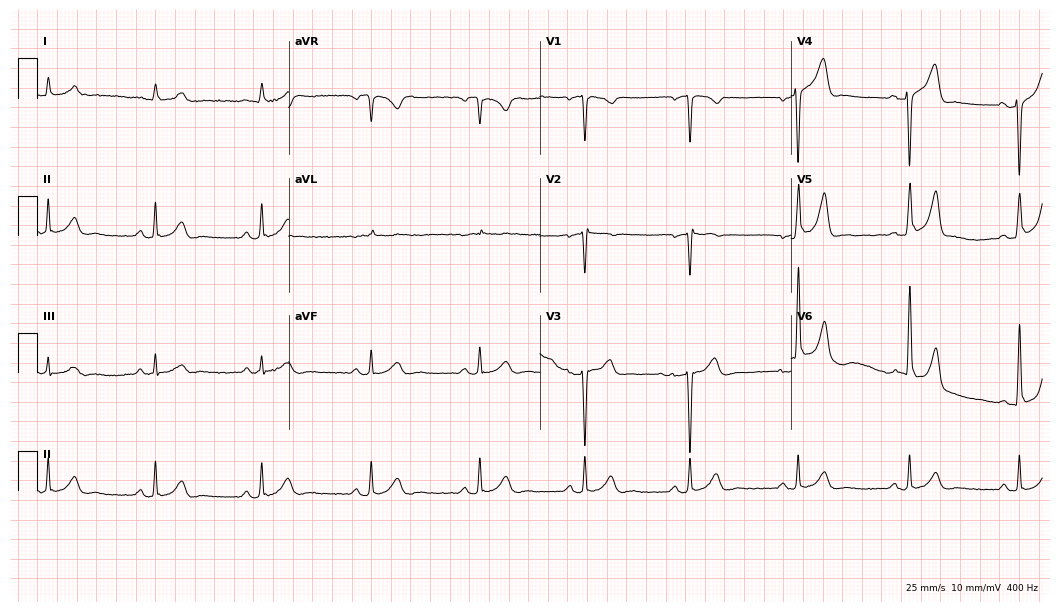
Resting 12-lead electrocardiogram. Patient: a 49-year-old man. None of these six findings is recorded: first-degree AV block, right bundle branch block, left bundle branch block, sinus bradycardia, atrial fibrillation, sinus tachycardia. Findings outside these six are not listed.